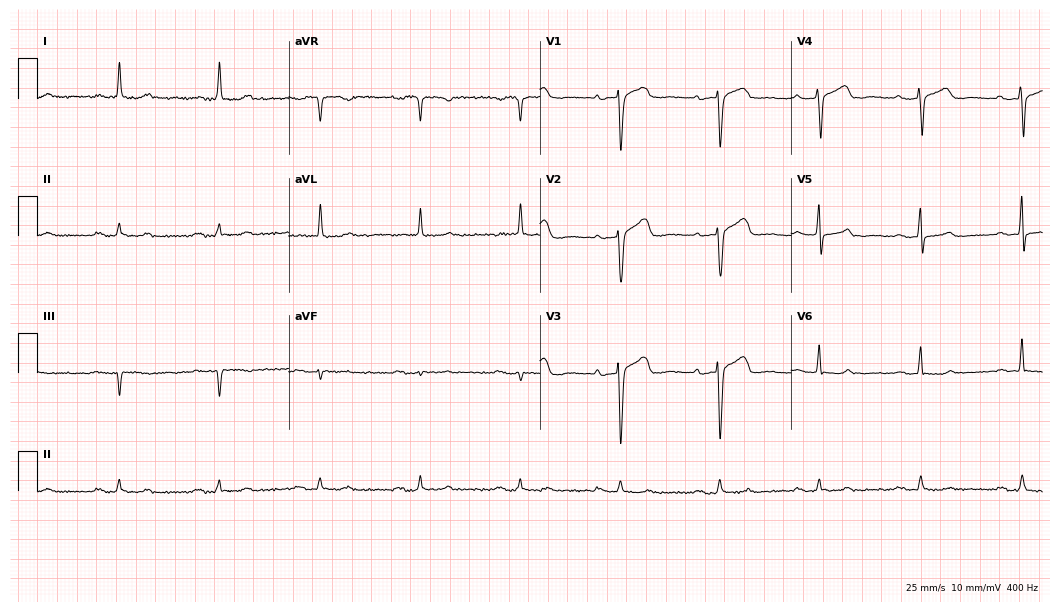
ECG (10.2-second recording at 400 Hz) — a female patient, 84 years old. Labelled as a normal ECG.